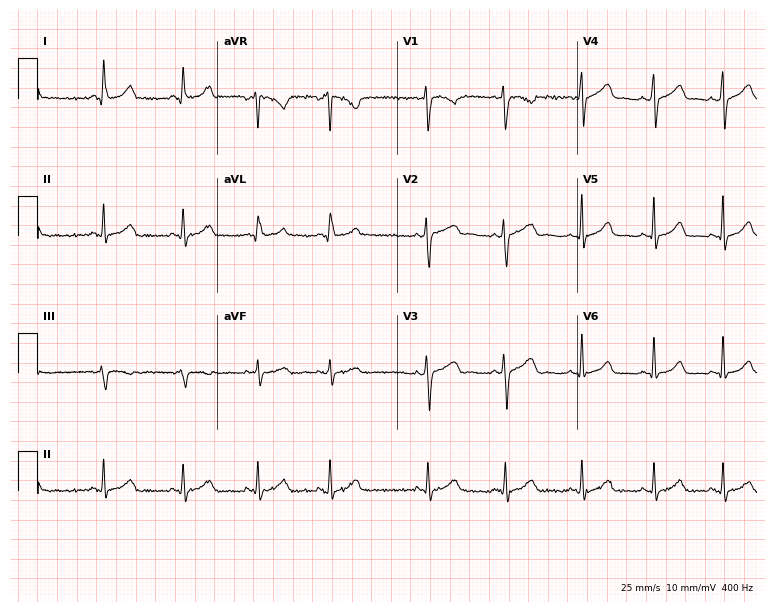
Standard 12-lead ECG recorded from a 27-year-old female patient. Read as a normal ECG.